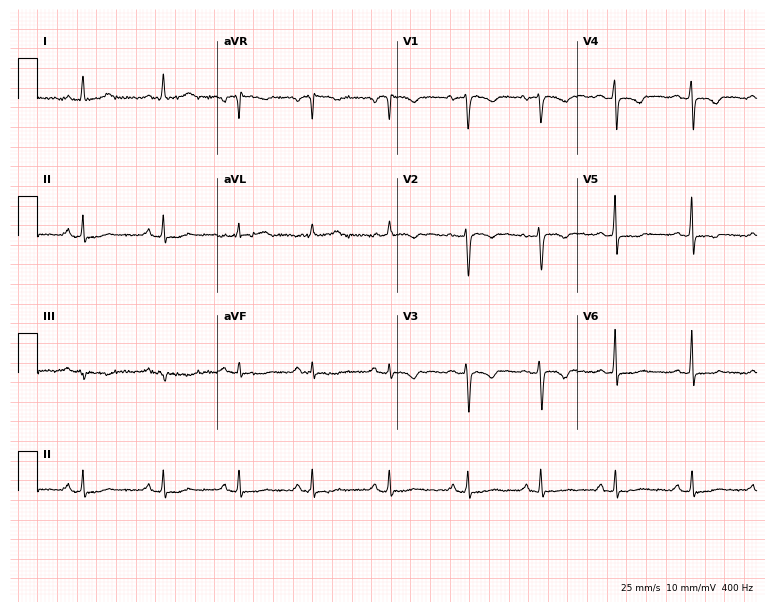
12-lead ECG (7.3-second recording at 400 Hz) from a 48-year-old woman. Screened for six findings — first-degree AV block, right bundle branch block (RBBB), left bundle branch block (LBBB), sinus bradycardia, atrial fibrillation (AF), sinus tachycardia — none is recorded. Only these six findings were labelled.